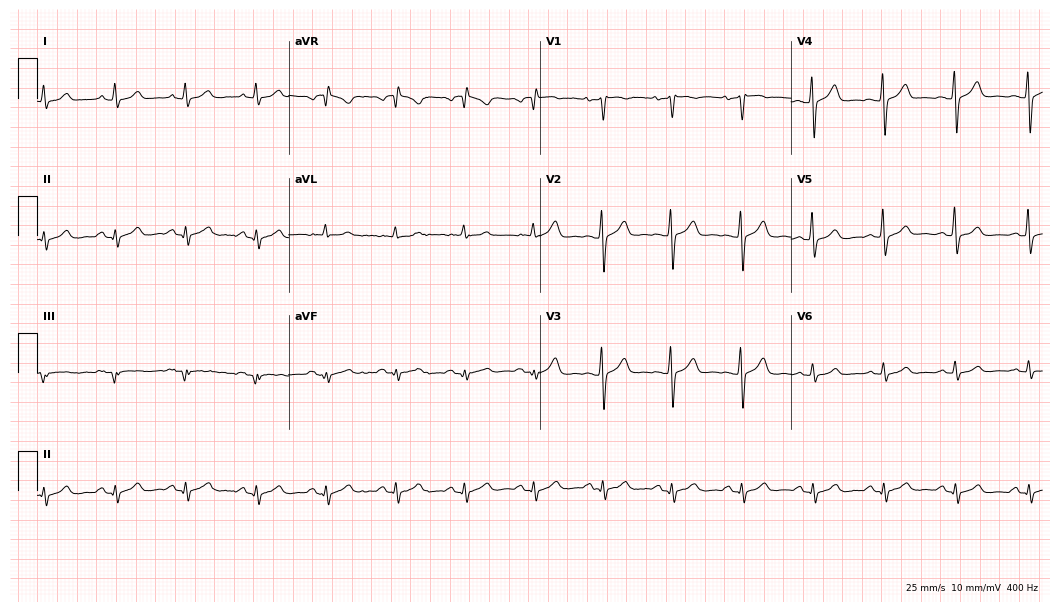
12-lead ECG (10.2-second recording at 400 Hz) from a 55-year-old man. Screened for six findings — first-degree AV block, right bundle branch block, left bundle branch block, sinus bradycardia, atrial fibrillation, sinus tachycardia — none is recorded. Only these six findings were labelled.